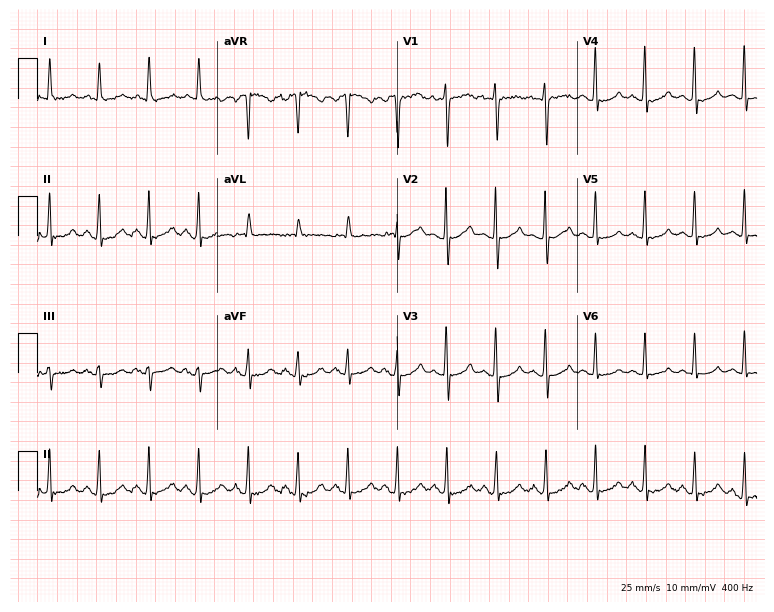
ECG (7.3-second recording at 400 Hz) — a 64-year-old woman. Findings include sinus tachycardia (a sinus rate of 100 beats per minute or more).